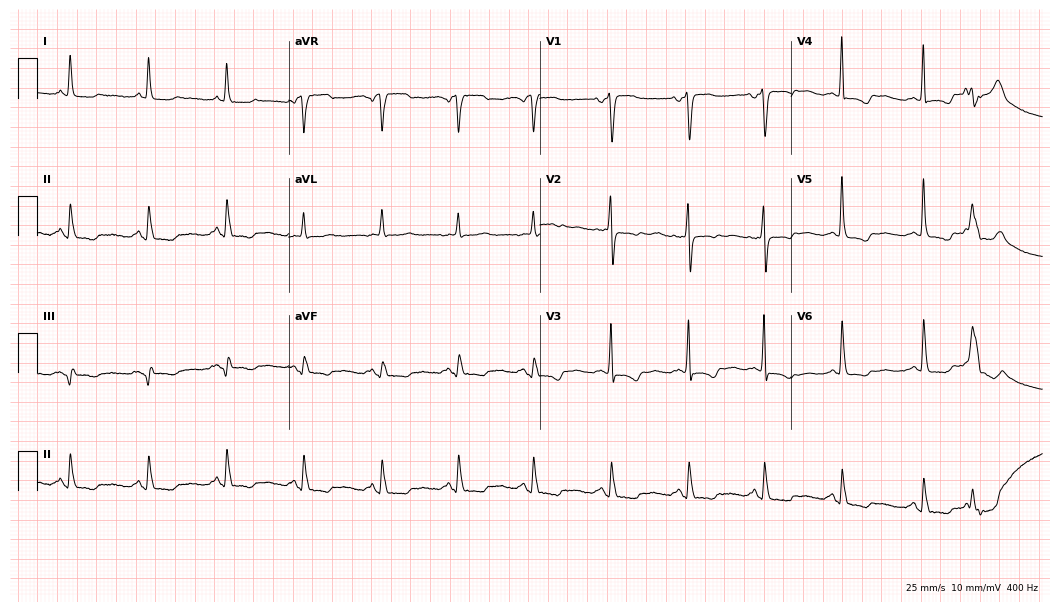
12-lead ECG (10.2-second recording at 400 Hz) from a woman, 73 years old. Screened for six findings — first-degree AV block, right bundle branch block, left bundle branch block, sinus bradycardia, atrial fibrillation, sinus tachycardia — none is recorded.